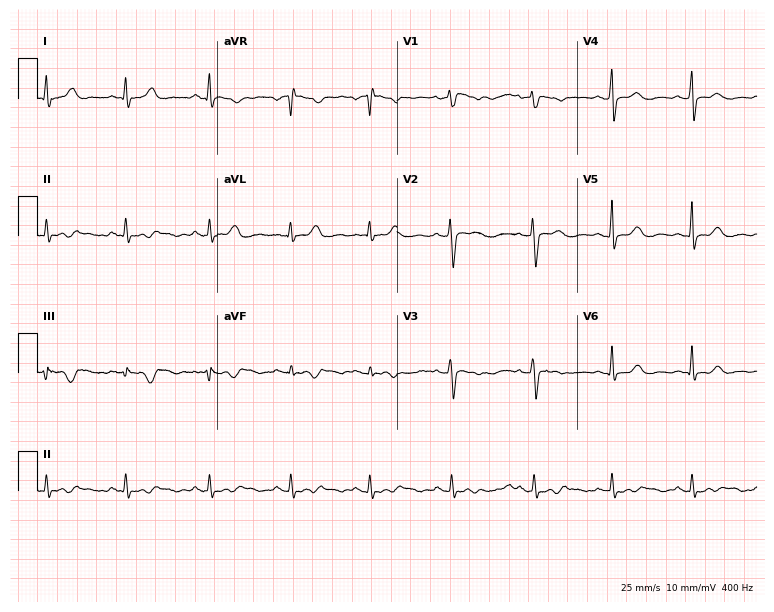
Electrocardiogram, a female, 34 years old. Overall reading on record: normal ECG.